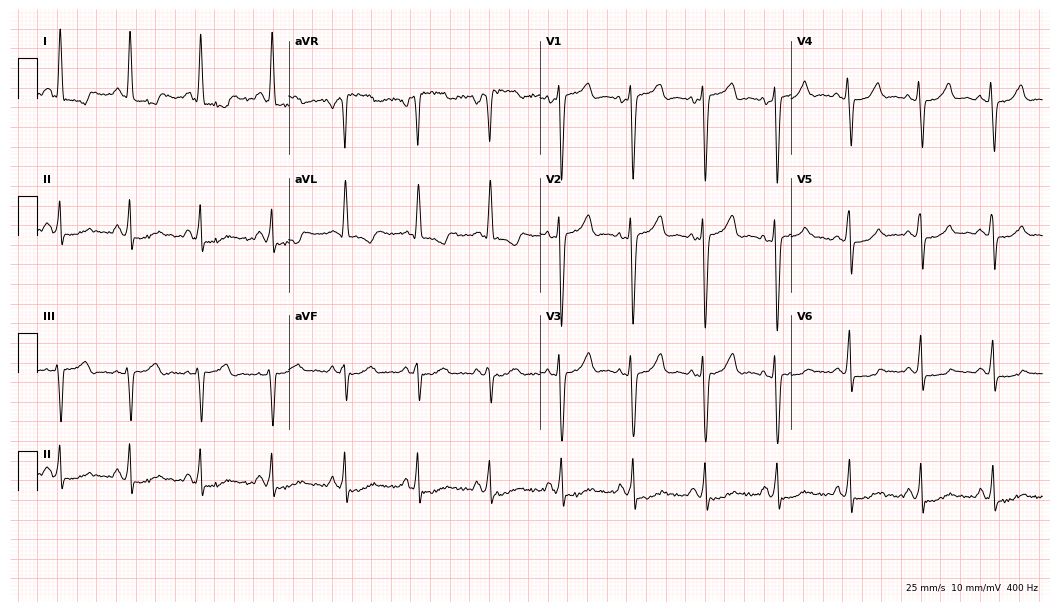
ECG (10.2-second recording at 400 Hz) — a woman, 42 years old. Screened for six findings — first-degree AV block, right bundle branch block, left bundle branch block, sinus bradycardia, atrial fibrillation, sinus tachycardia — none is recorded. Other findings, if any, are not listed.